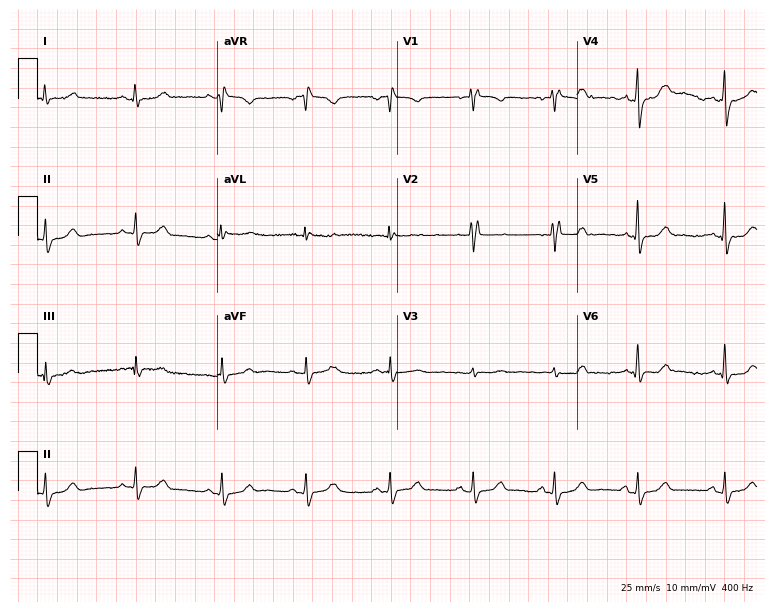
Electrocardiogram (7.3-second recording at 400 Hz), a female, 39 years old. Interpretation includes right bundle branch block.